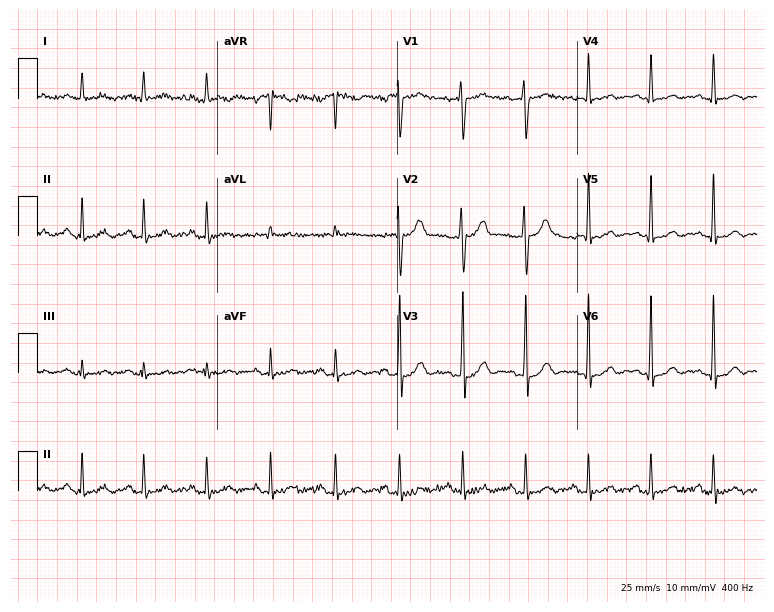
12-lead ECG from a man, 42 years old. Labelled as a normal ECG.